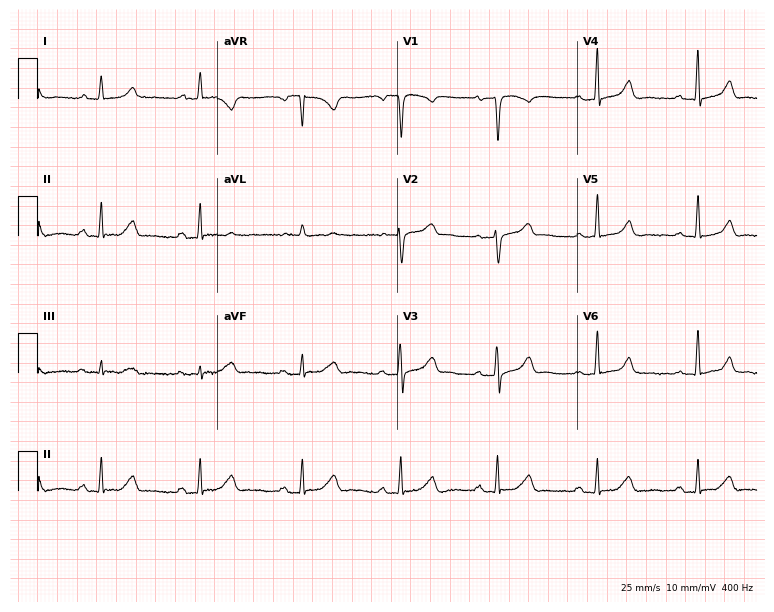
ECG (7.3-second recording at 400 Hz) — a woman, 60 years old. Labelled as a normal ECG.